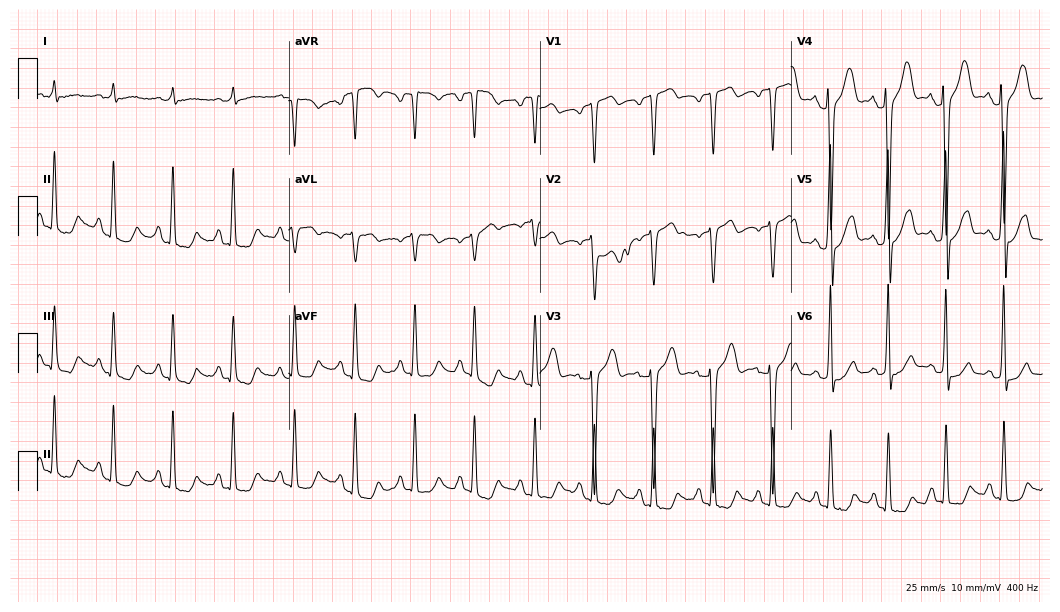
12-lead ECG from a 53-year-old man. No first-degree AV block, right bundle branch block (RBBB), left bundle branch block (LBBB), sinus bradycardia, atrial fibrillation (AF) or sinus tachycardia recorded for this tracing. Findings outside these six are not listed.